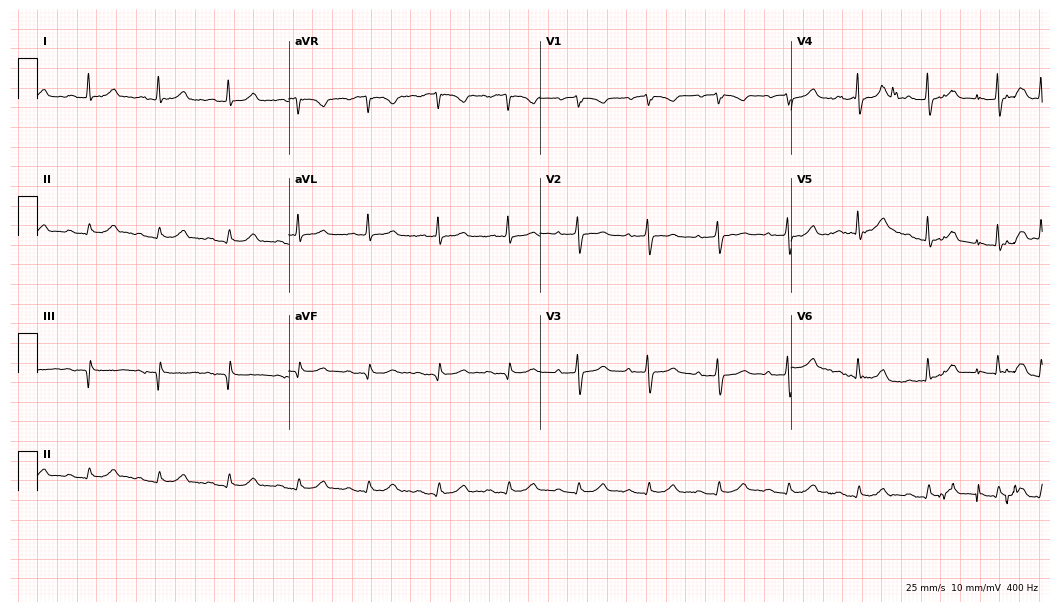
Resting 12-lead electrocardiogram (10.2-second recording at 400 Hz). Patient: a male, 85 years old. Read as a normal ECG.